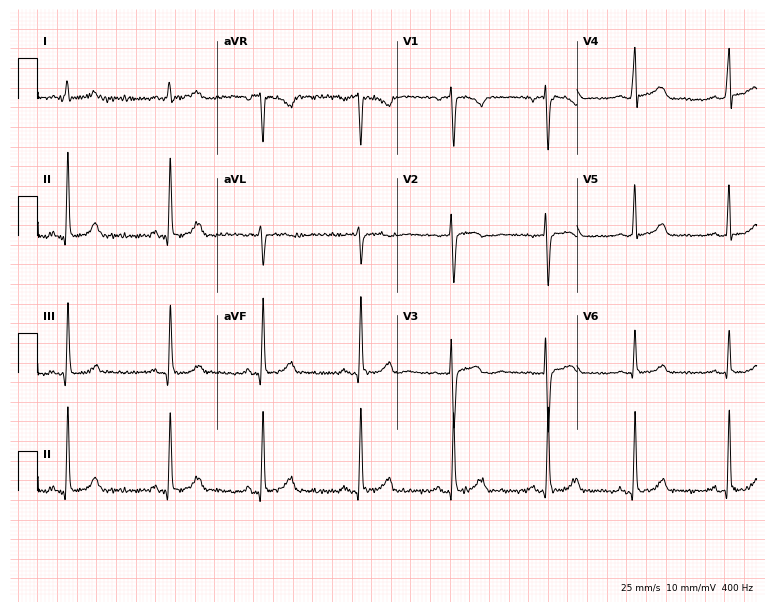
ECG — a 19-year-old female patient. Labelled as a normal ECG.